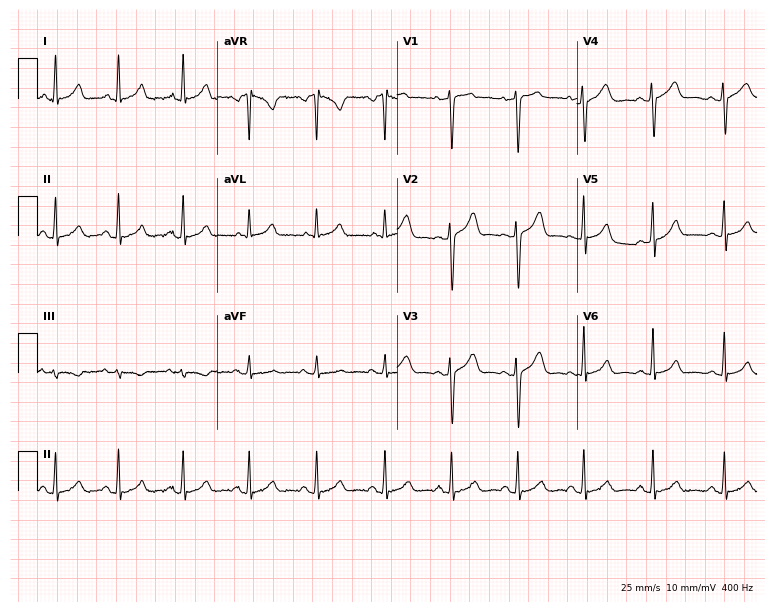
ECG — a 22-year-old female. Labelled as a normal ECG.